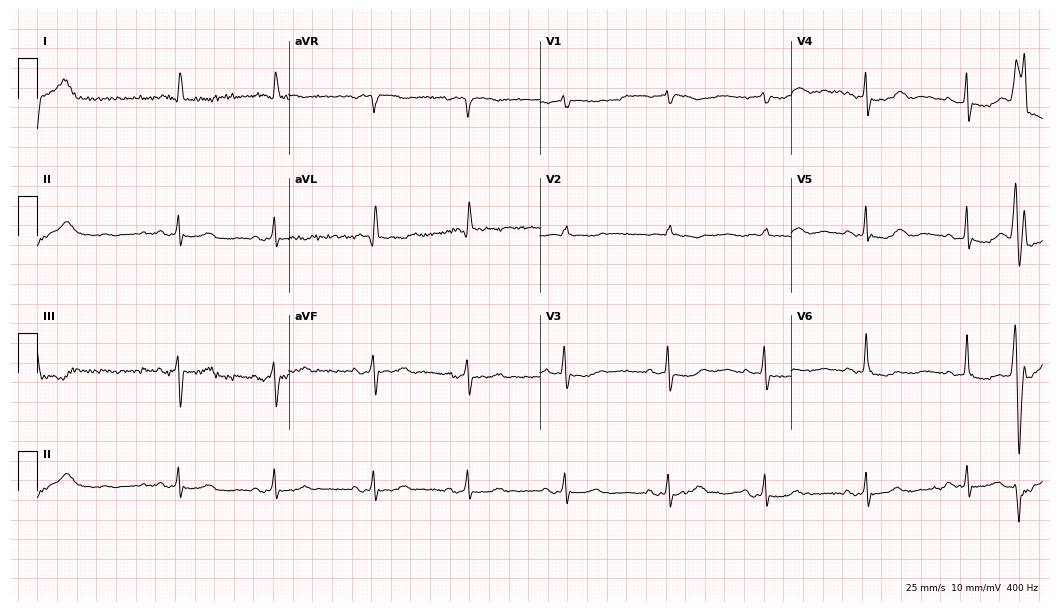
Resting 12-lead electrocardiogram. Patient: a 77-year-old female. None of these six findings is recorded: first-degree AV block, right bundle branch block, left bundle branch block, sinus bradycardia, atrial fibrillation, sinus tachycardia. Only these six findings were labelled.